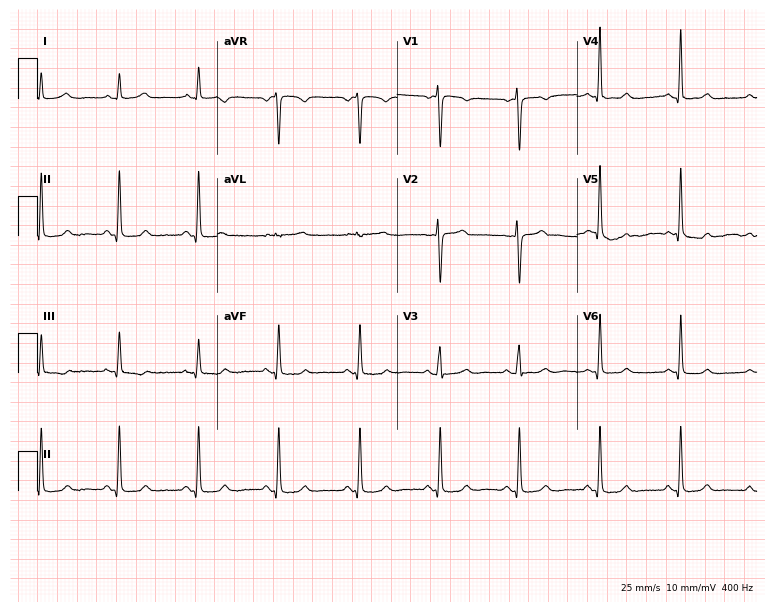
Standard 12-lead ECG recorded from a woman, 48 years old (7.3-second recording at 400 Hz). None of these six findings is recorded: first-degree AV block, right bundle branch block (RBBB), left bundle branch block (LBBB), sinus bradycardia, atrial fibrillation (AF), sinus tachycardia. Other findings, if any, are not listed.